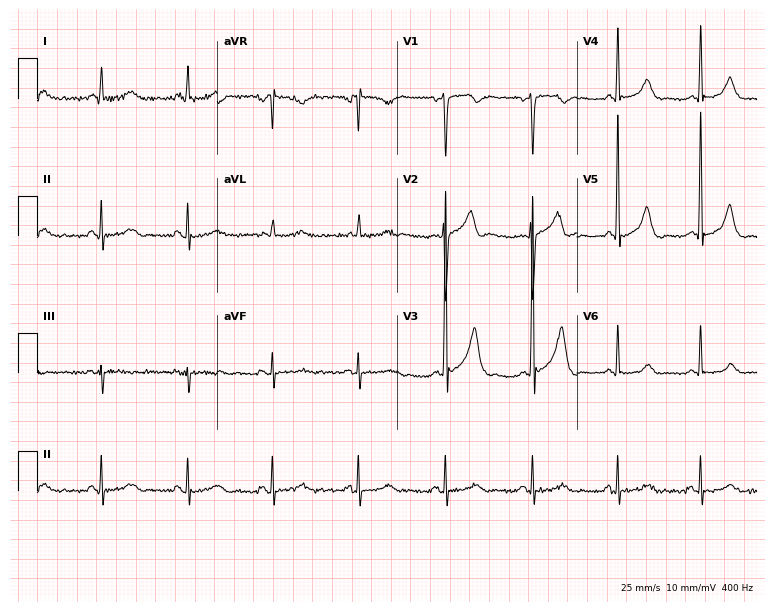
12-lead ECG from a male, 42 years old. Labelled as a normal ECG.